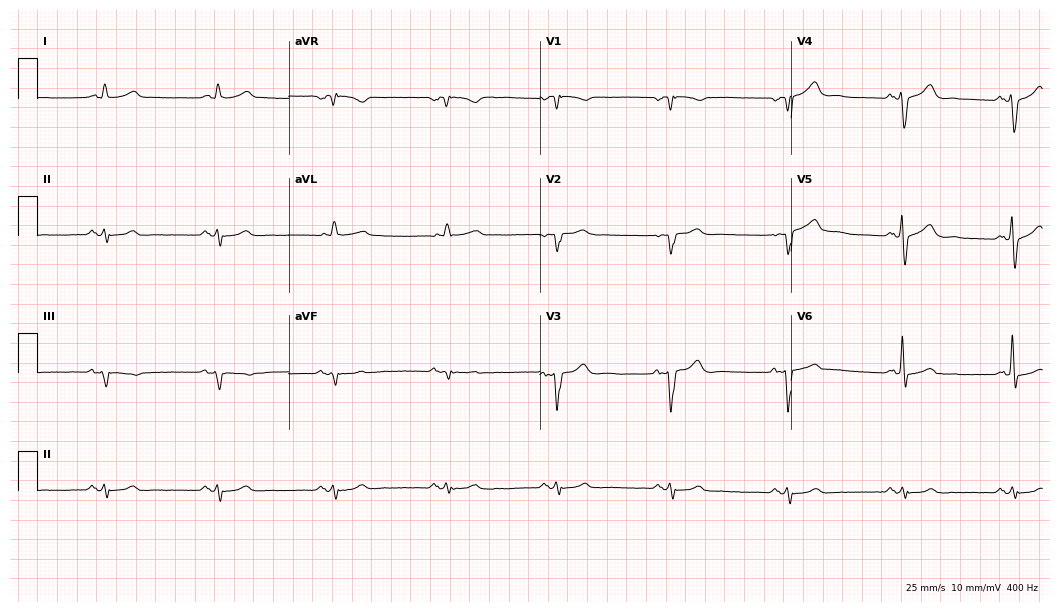
12-lead ECG from a 68-year-old male. Screened for six findings — first-degree AV block, right bundle branch block (RBBB), left bundle branch block (LBBB), sinus bradycardia, atrial fibrillation (AF), sinus tachycardia — none is recorded.